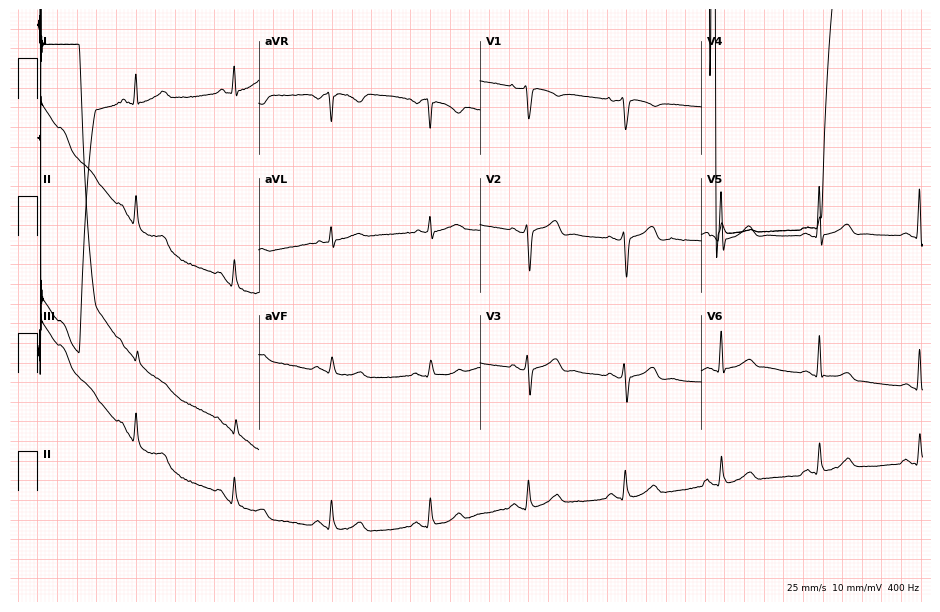
12-lead ECG (9-second recording at 400 Hz) from a 60-year-old man. Screened for six findings — first-degree AV block, right bundle branch block, left bundle branch block, sinus bradycardia, atrial fibrillation, sinus tachycardia — none is recorded.